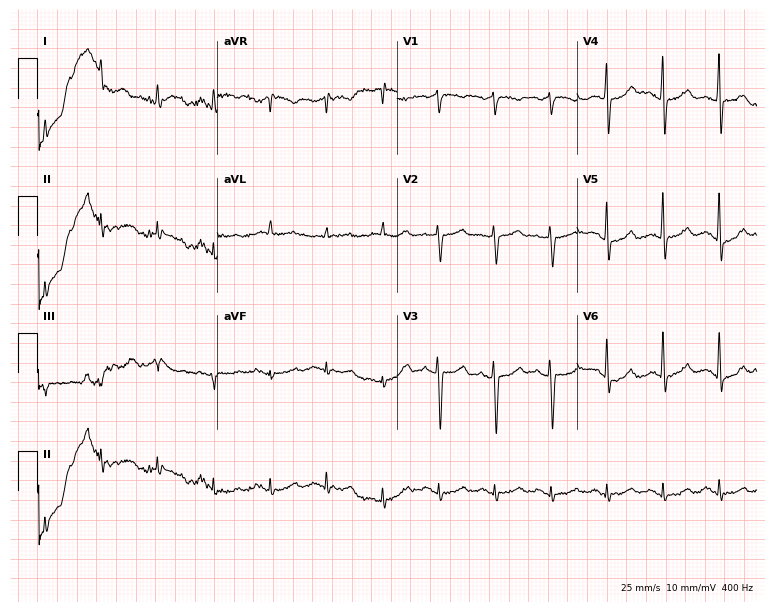
ECG (7.3-second recording at 400 Hz) — a male, 66 years old. Findings include sinus tachycardia (a sinus rate of 100 beats per minute or more).